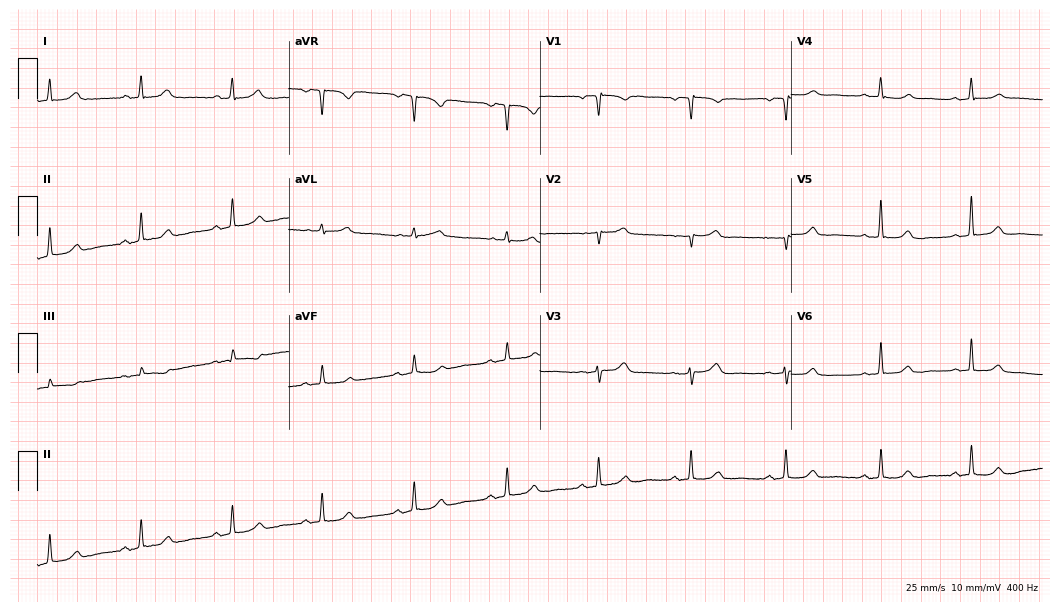
ECG (10.2-second recording at 400 Hz) — a 48-year-old female. Screened for six findings — first-degree AV block, right bundle branch block, left bundle branch block, sinus bradycardia, atrial fibrillation, sinus tachycardia — none is recorded. Other findings, if any, are not listed.